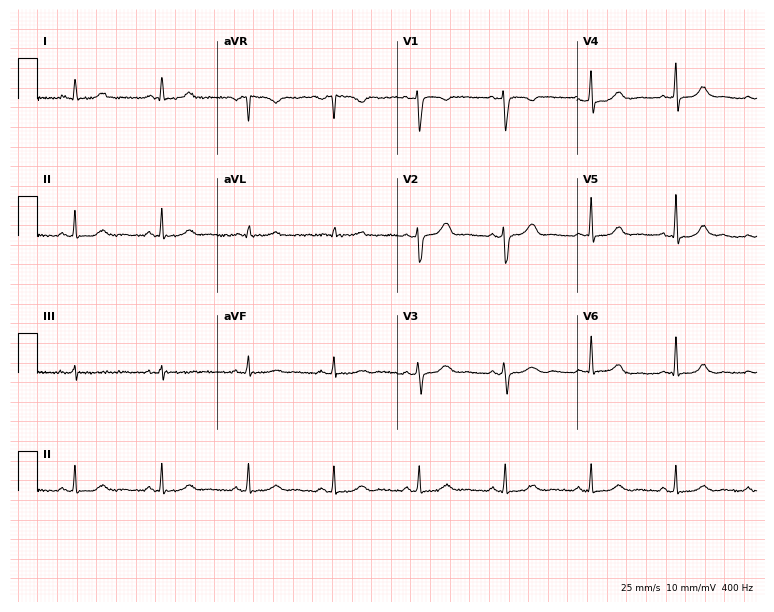
Standard 12-lead ECG recorded from a 45-year-old female. Read as a normal ECG.